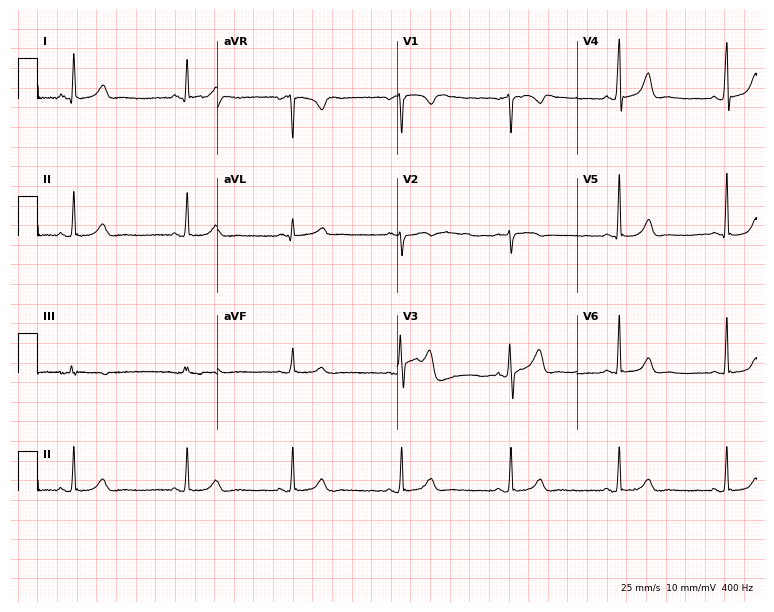
12-lead ECG from a female, 39 years old. No first-degree AV block, right bundle branch block, left bundle branch block, sinus bradycardia, atrial fibrillation or sinus tachycardia recorded for this tracing.